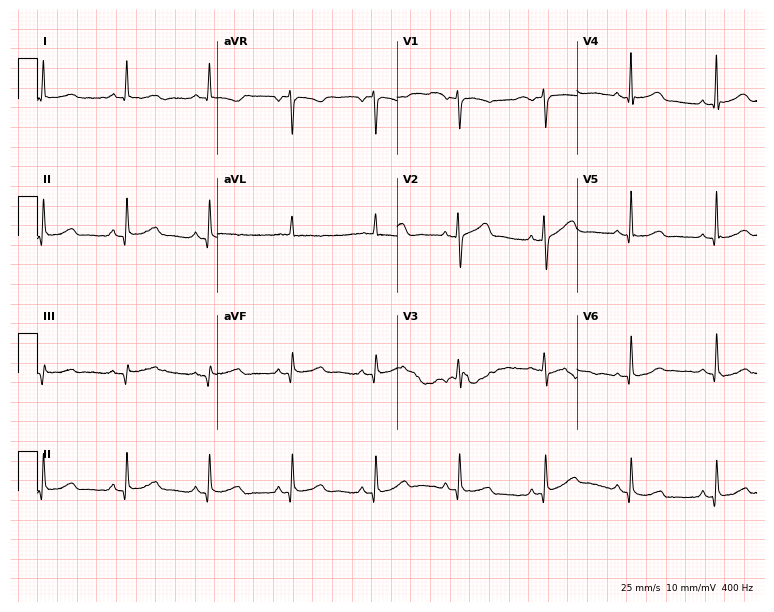
ECG (7.3-second recording at 400 Hz) — a male, 60 years old. Screened for six findings — first-degree AV block, right bundle branch block (RBBB), left bundle branch block (LBBB), sinus bradycardia, atrial fibrillation (AF), sinus tachycardia — none is recorded. Other findings, if any, are not listed.